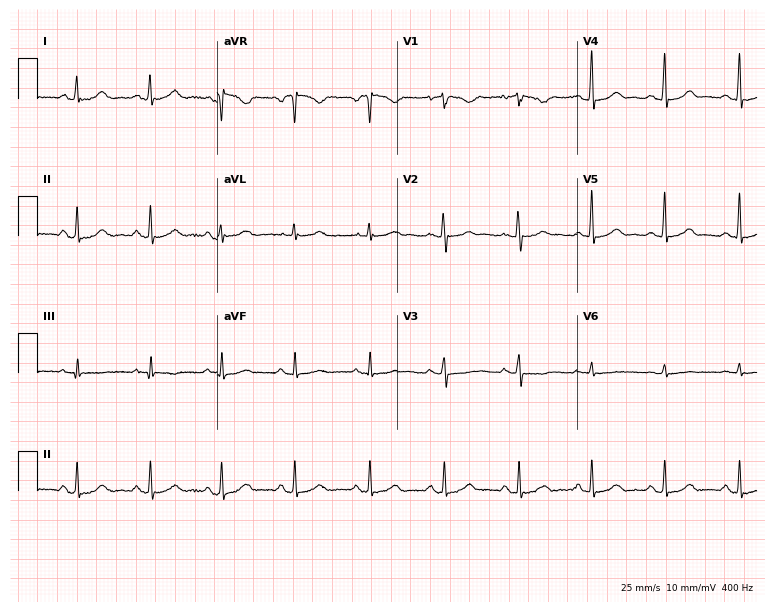
12-lead ECG from a female patient, 60 years old. Labelled as a normal ECG.